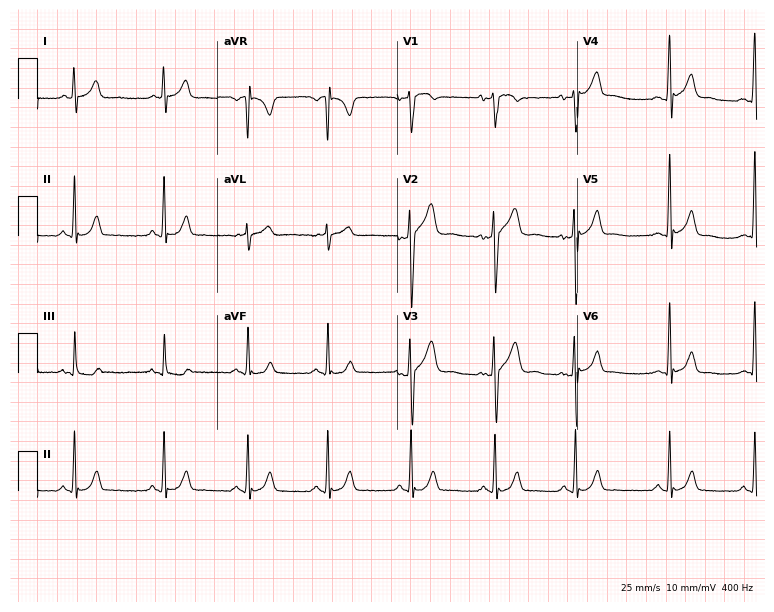
Electrocardiogram (7.3-second recording at 400 Hz), a 24-year-old male patient. Overall reading on record: normal ECG.